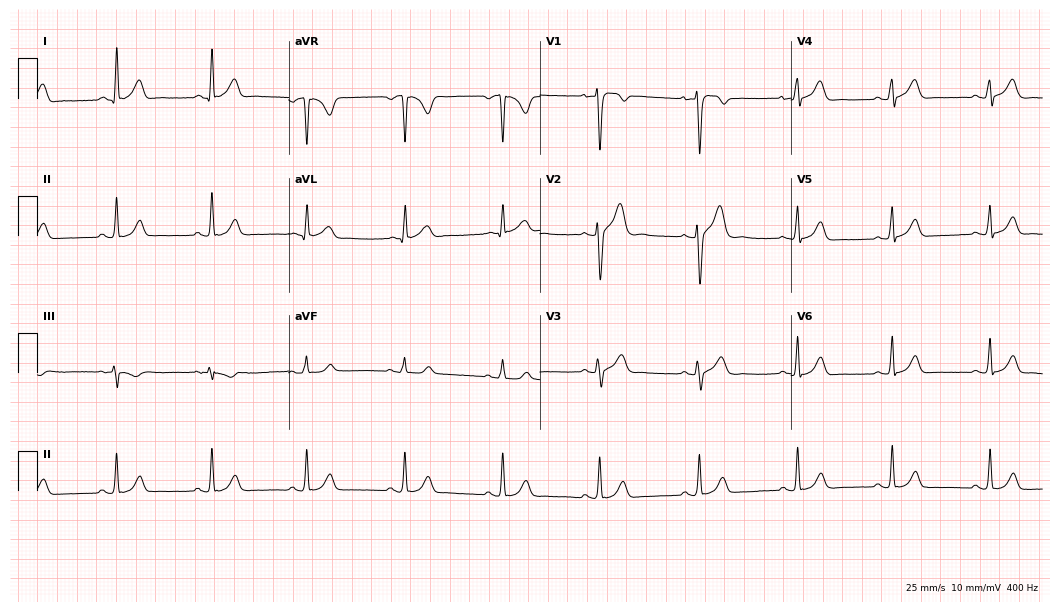
Electrocardiogram, a 21-year-old male patient. Overall reading on record: normal ECG.